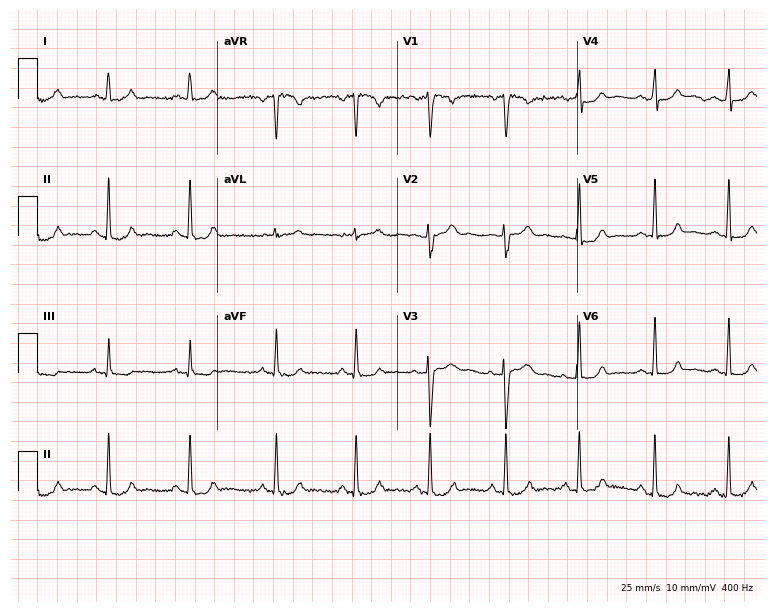
ECG (7.3-second recording at 400 Hz) — a woman, 36 years old. Labelled as a normal ECG.